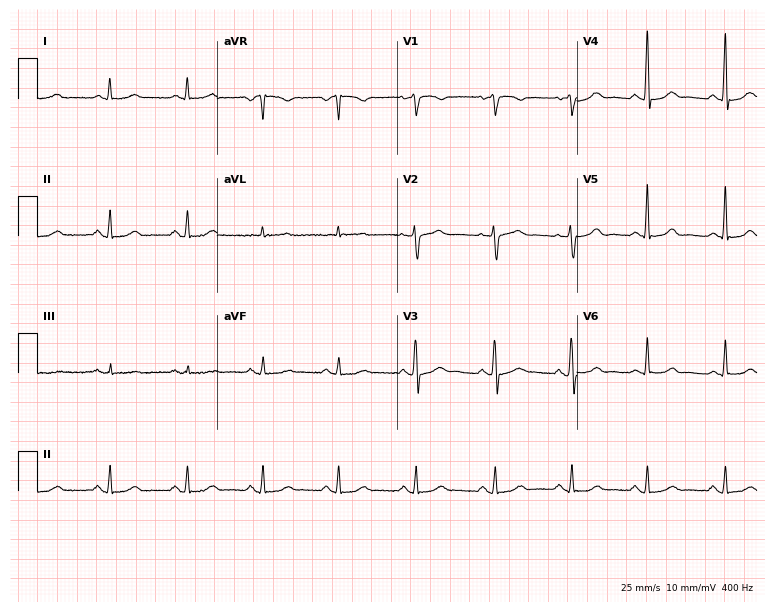
Resting 12-lead electrocardiogram (7.3-second recording at 400 Hz). Patient: a woman, 65 years old. None of these six findings is recorded: first-degree AV block, right bundle branch block, left bundle branch block, sinus bradycardia, atrial fibrillation, sinus tachycardia.